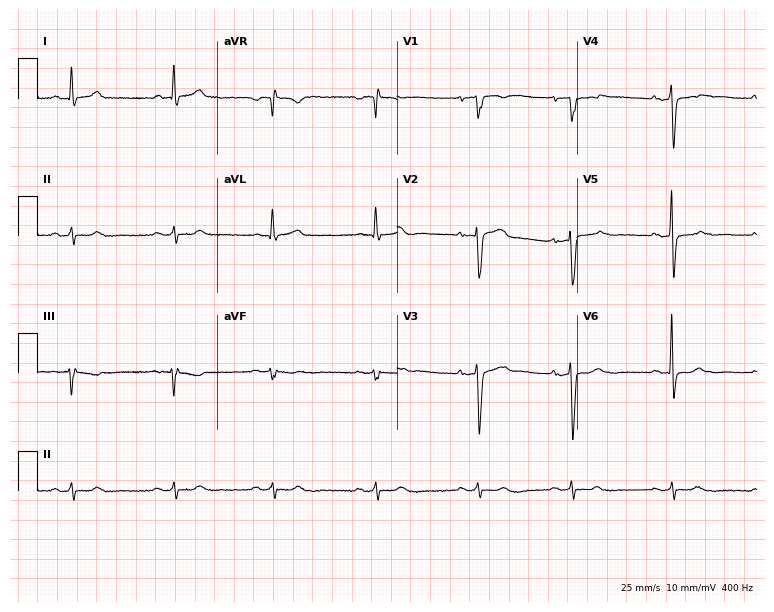
Resting 12-lead electrocardiogram. Patient: a man, 65 years old. None of these six findings is recorded: first-degree AV block, right bundle branch block, left bundle branch block, sinus bradycardia, atrial fibrillation, sinus tachycardia. Findings outside these six are not listed.